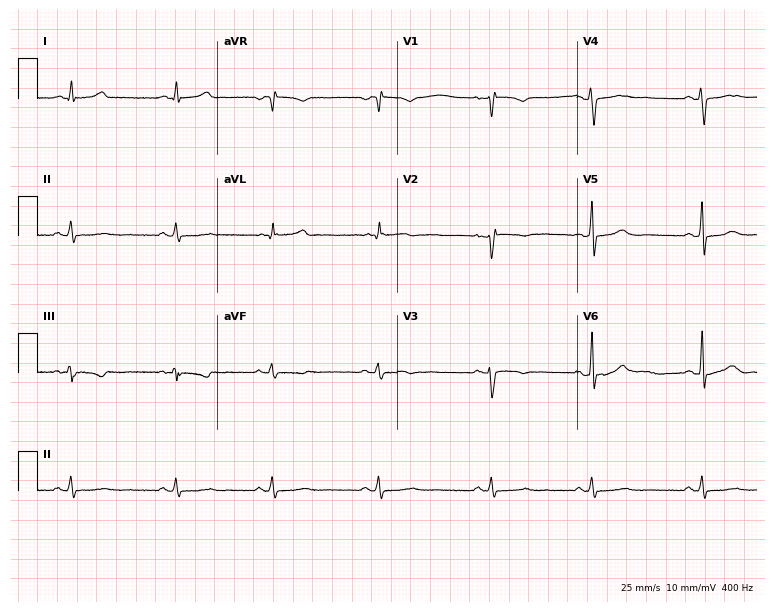
ECG (7.3-second recording at 400 Hz) — a female patient, 45 years old. Screened for six findings — first-degree AV block, right bundle branch block, left bundle branch block, sinus bradycardia, atrial fibrillation, sinus tachycardia — none is recorded. Findings outside these six are not listed.